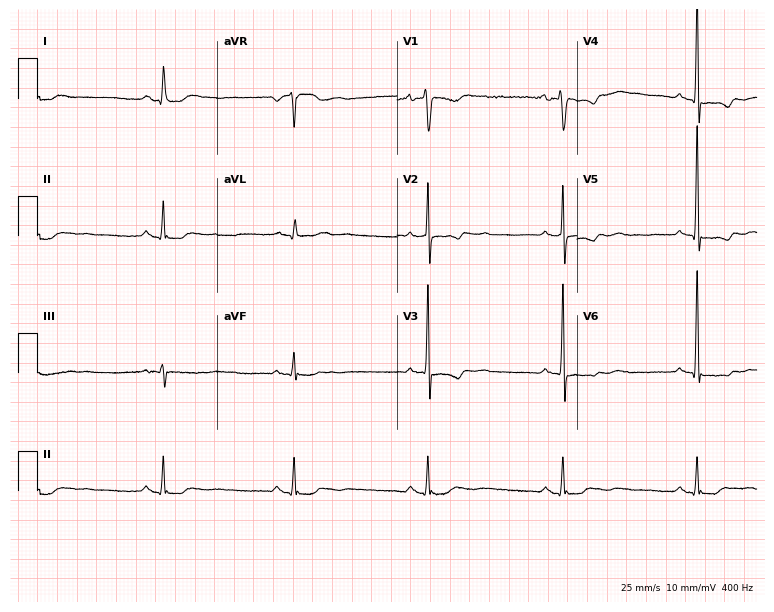
ECG (7.3-second recording at 400 Hz) — a man, 44 years old. Findings include sinus bradycardia (a sinus rate of 50 beats per minute or less).